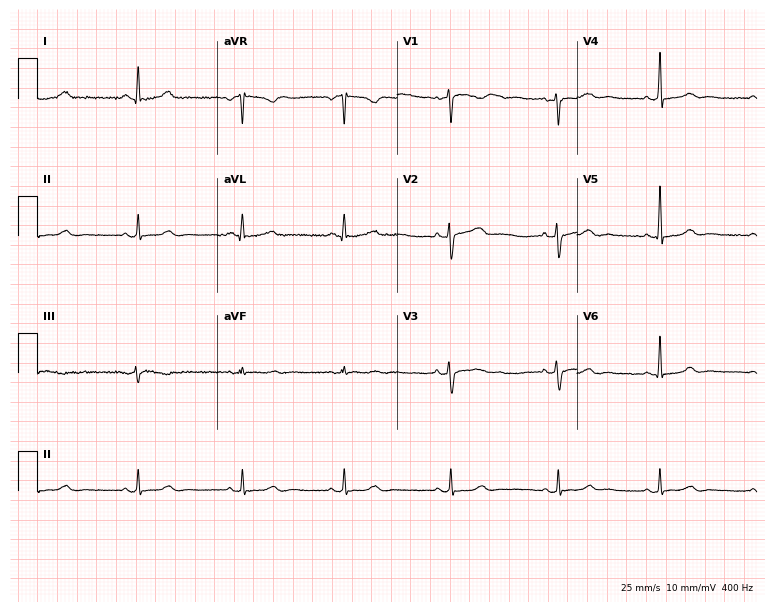
Standard 12-lead ECG recorded from a 49-year-old female patient. None of these six findings is recorded: first-degree AV block, right bundle branch block (RBBB), left bundle branch block (LBBB), sinus bradycardia, atrial fibrillation (AF), sinus tachycardia. Findings outside these six are not listed.